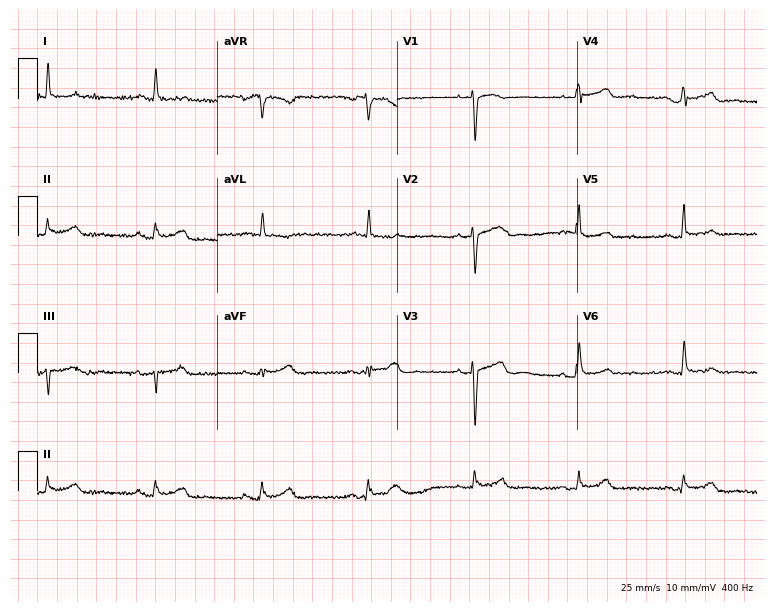
Electrocardiogram, a 54-year-old male. Overall reading on record: normal ECG.